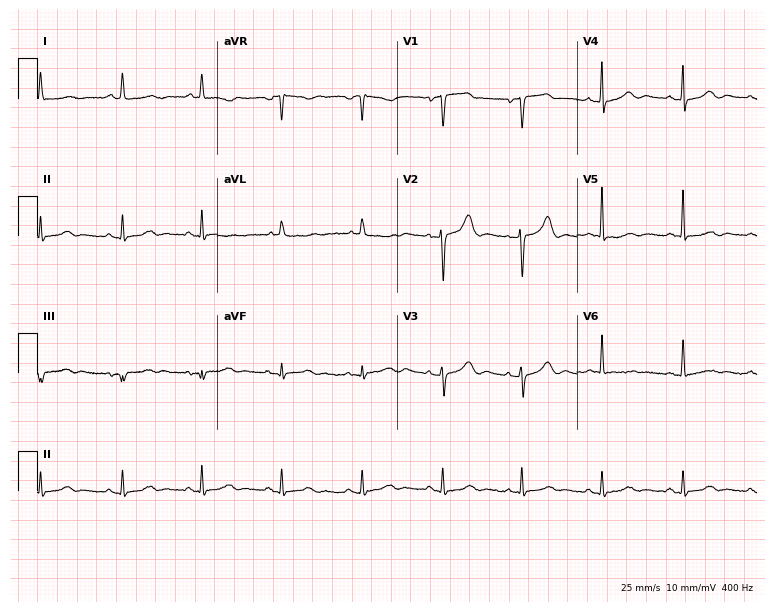
Standard 12-lead ECG recorded from a female, 83 years old. None of these six findings is recorded: first-degree AV block, right bundle branch block, left bundle branch block, sinus bradycardia, atrial fibrillation, sinus tachycardia. Other findings, if any, are not listed.